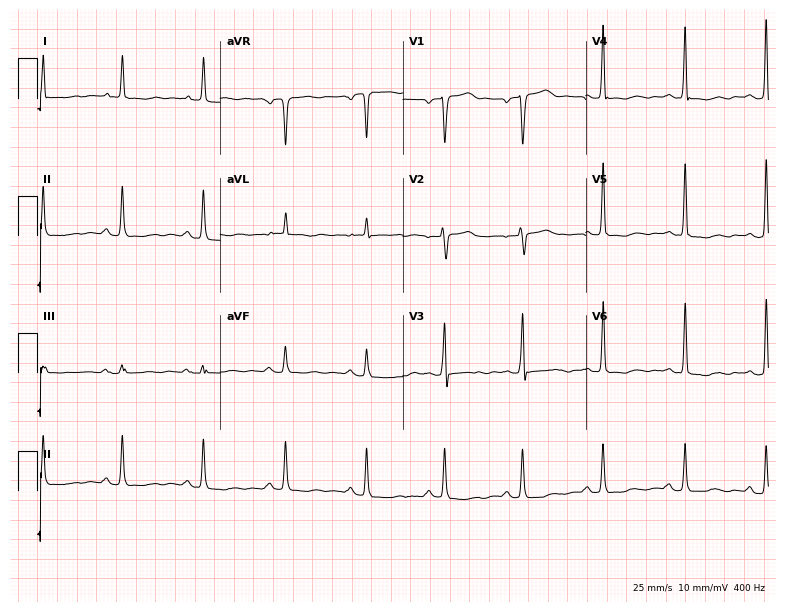
ECG — a 68-year-old female patient. Screened for six findings — first-degree AV block, right bundle branch block (RBBB), left bundle branch block (LBBB), sinus bradycardia, atrial fibrillation (AF), sinus tachycardia — none is recorded.